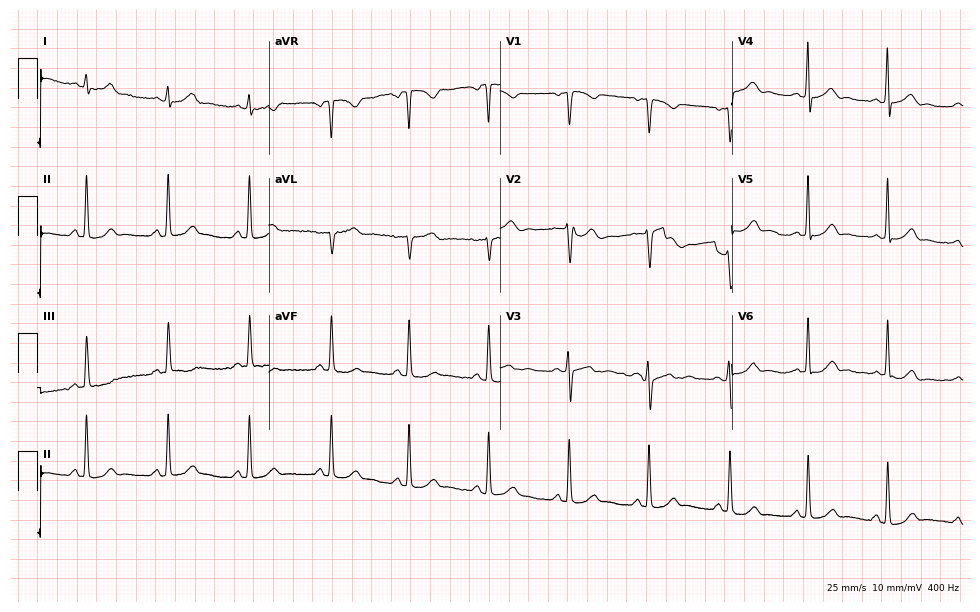
Standard 12-lead ECG recorded from a female patient, 17 years old. Read as a normal ECG.